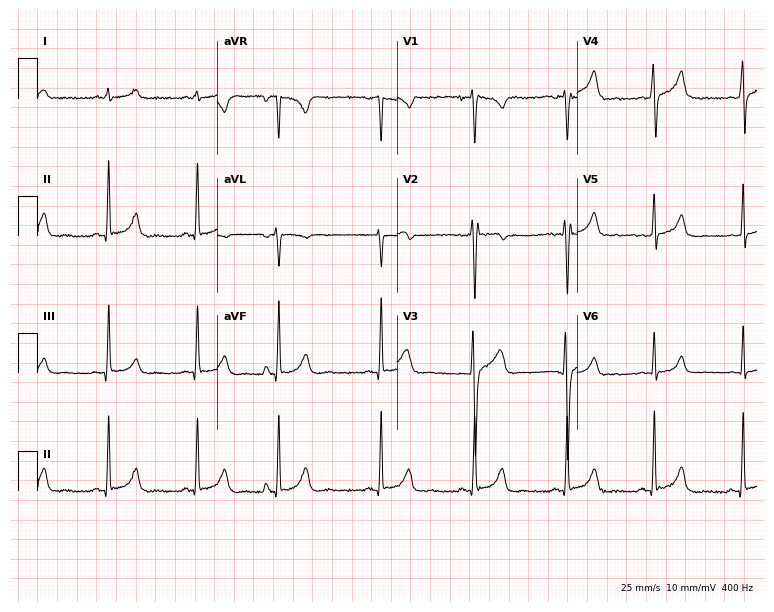
Resting 12-lead electrocardiogram (7.3-second recording at 400 Hz). Patient: a male, 30 years old. Read as a normal ECG.